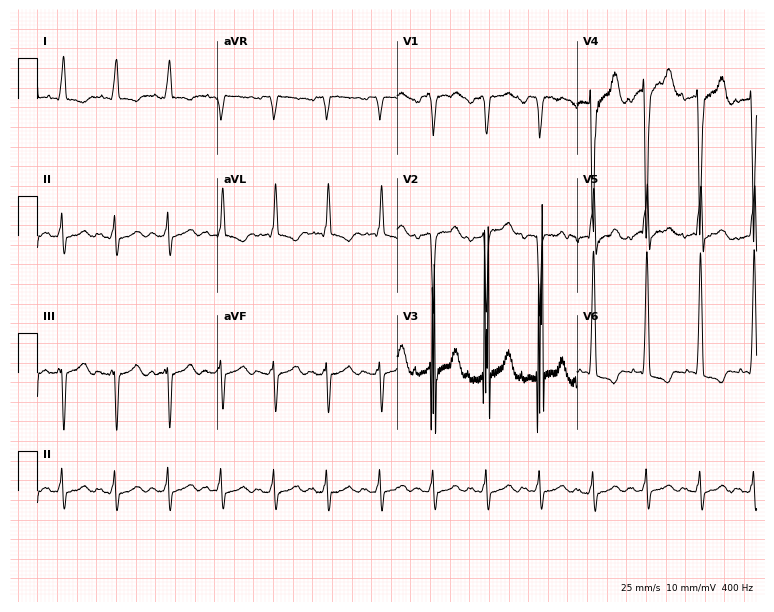
Standard 12-lead ECG recorded from a male patient, 71 years old (7.3-second recording at 400 Hz). None of these six findings is recorded: first-degree AV block, right bundle branch block, left bundle branch block, sinus bradycardia, atrial fibrillation, sinus tachycardia. Other findings, if any, are not listed.